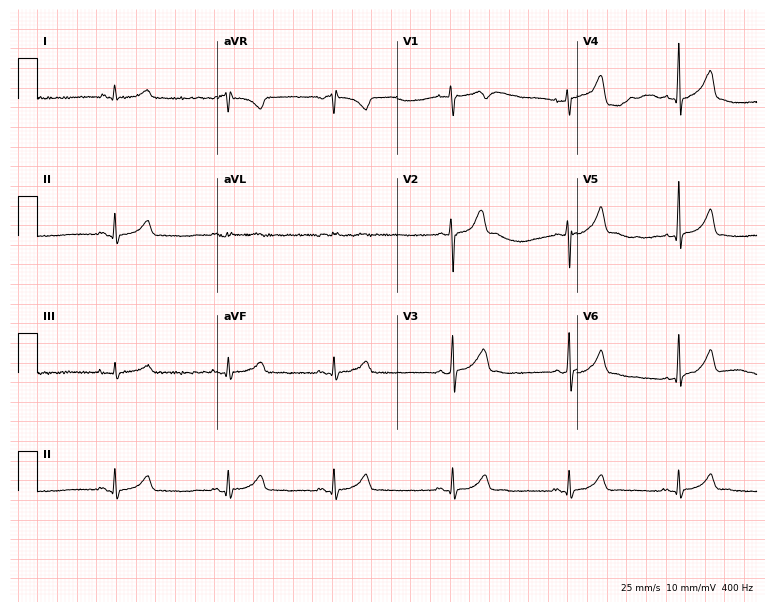
12-lead ECG from a 23-year-old male patient. No first-degree AV block, right bundle branch block, left bundle branch block, sinus bradycardia, atrial fibrillation or sinus tachycardia recorded for this tracing. Findings outside these six are not listed.